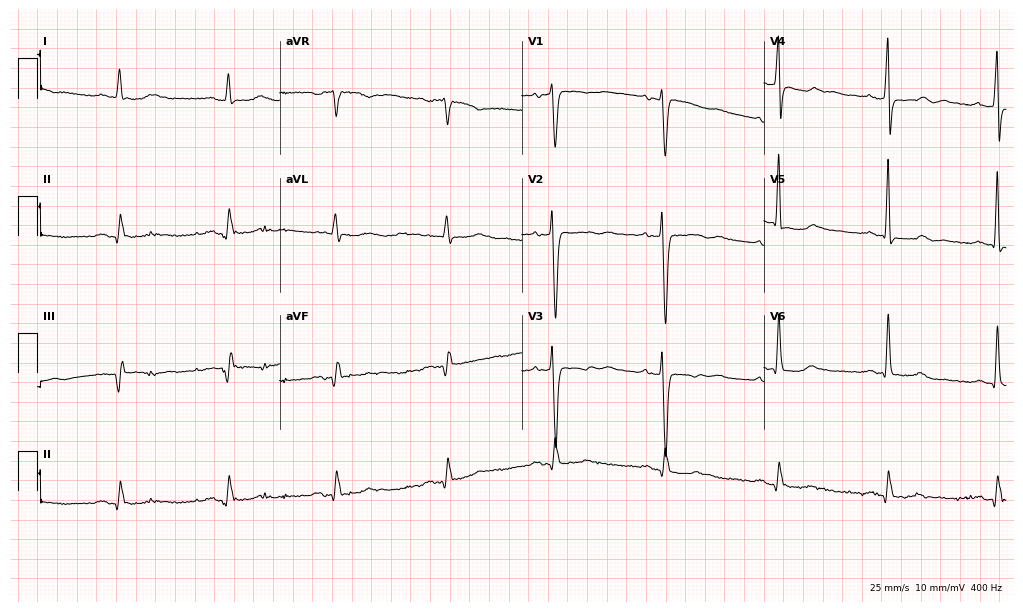
Electrocardiogram, a 69-year-old man. Of the six screened findings (first-degree AV block, right bundle branch block (RBBB), left bundle branch block (LBBB), sinus bradycardia, atrial fibrillation (AF), sinus tachycardia), none is recorded. Findings outside these six are not listed.